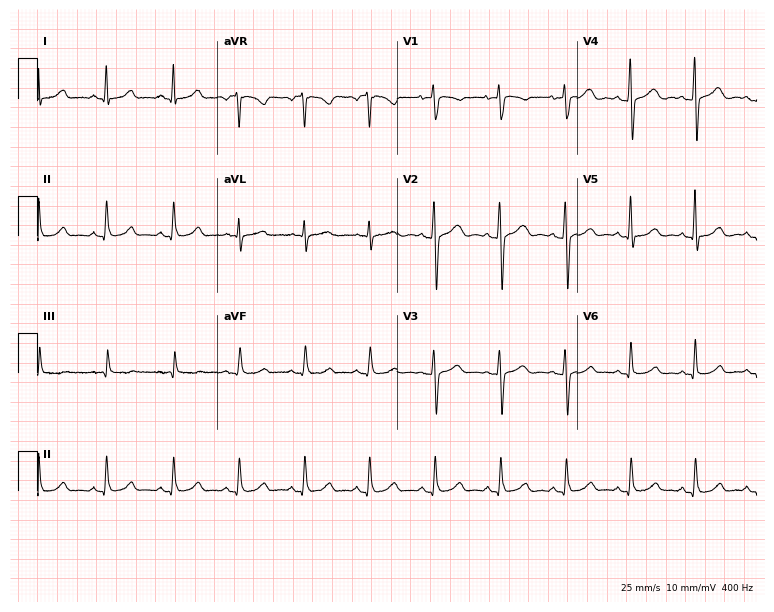
Standard 12-lead ECG recorded from a woman, 45 years old (7.3-second recording at 400 Hz). Read as a normal ECG.